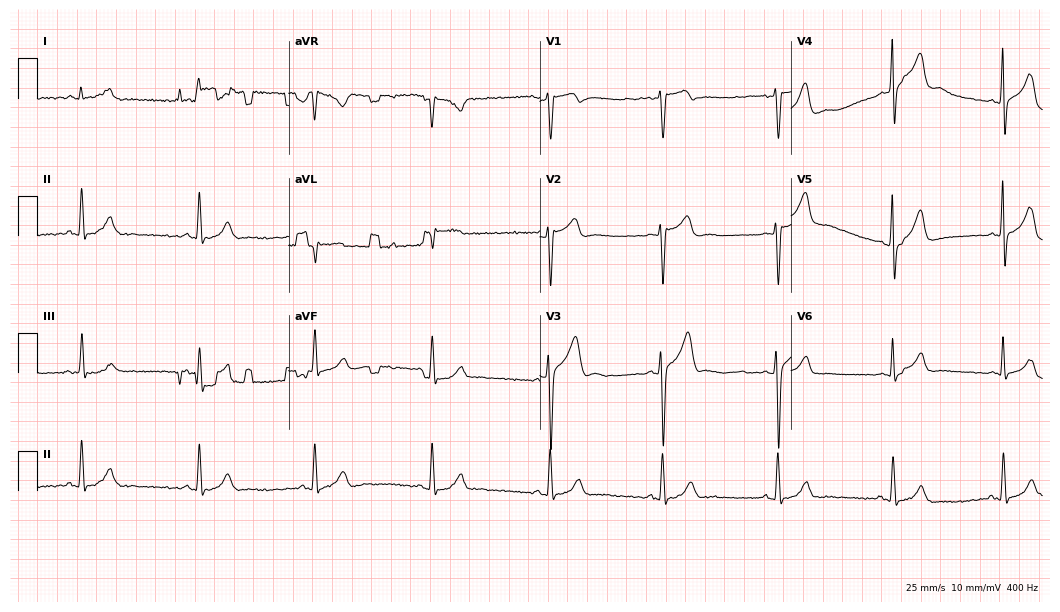
Resting 12-lead electrocardiogram (10.2-second recording at 400 Hz). Patient: a 45-year-old male. Read as a normal ECG.